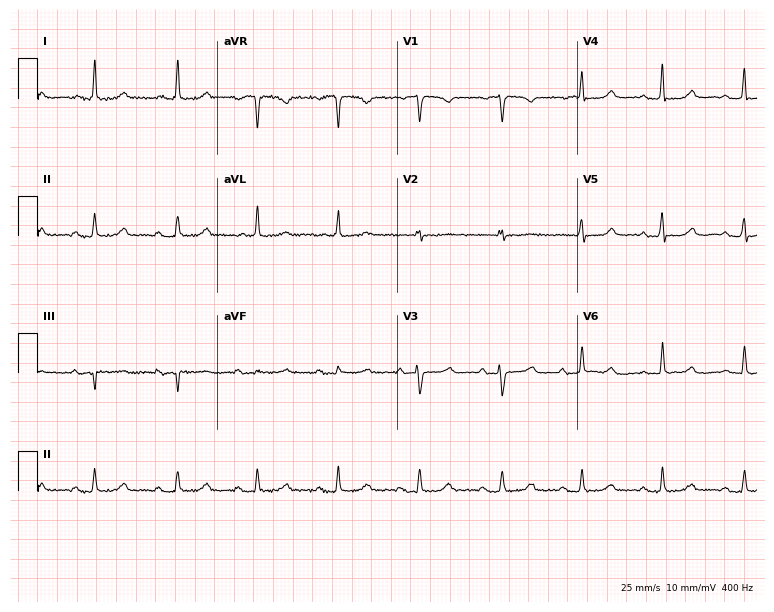
Electrocardiogram (7.3-second recording at 400 Hz), an 85-year-old female patient. Overall reading on record: normal ECG.